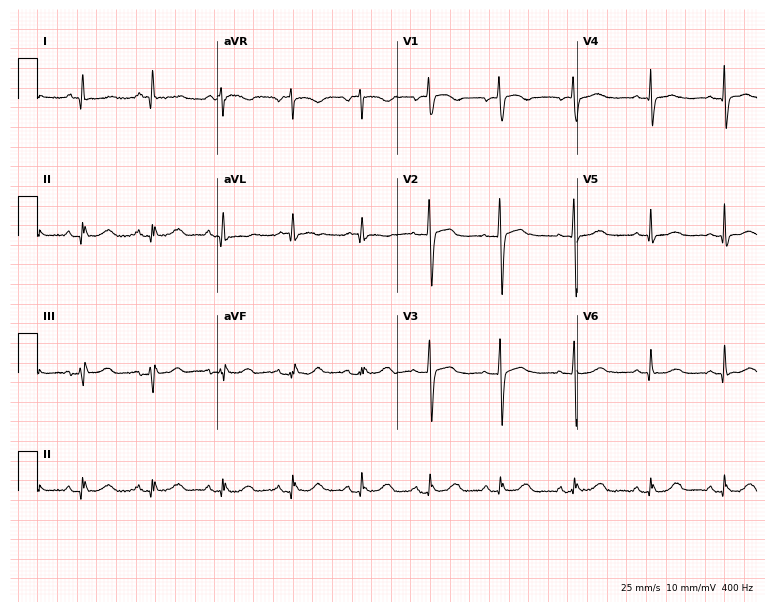
Electrocardiogram (7.3-second recording at 400 Hz), a 66-year-old female. Of the six screened findings (first-degree AV block, right bundle branch block (RBBB), left bundle branch block (LBBB), sinus bradycardia, atrial fibrillation (AF), sinus tachycardia), none is recorded.